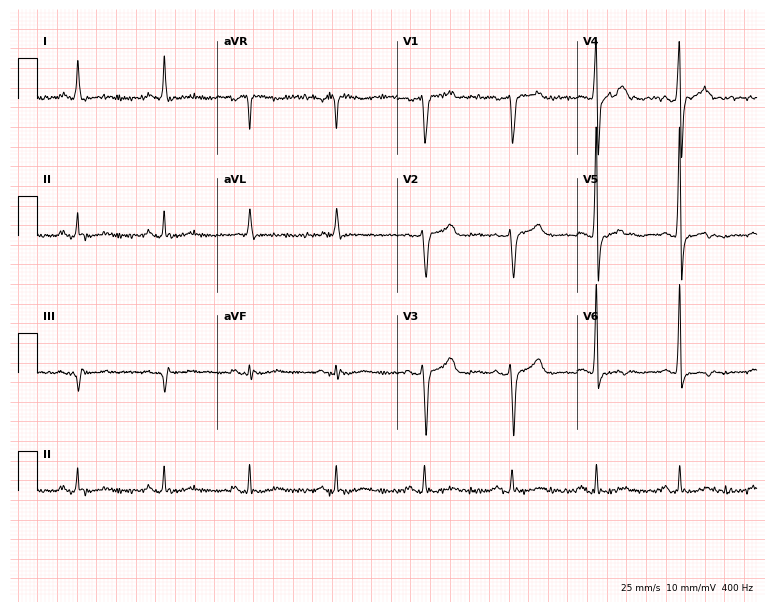
Electrocardiogram, a female, 73 years old. Of the six screened findings (first-degree AV block, right bundle branch block, left bundle branch block, sinus bradycardia, atrial fibrillation, sinus tachycardia), none is recorded. Only these six findings were labelled.